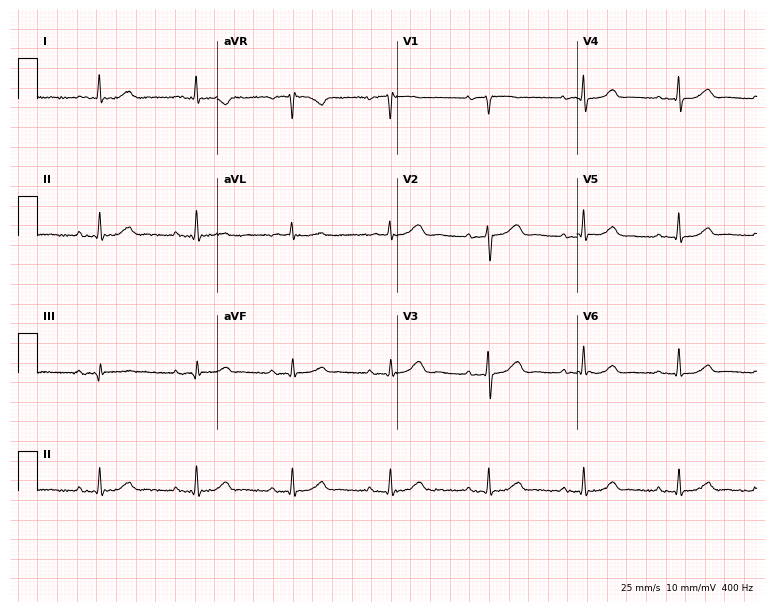
ECG — an 87-year-old female patient. Labelled as a normal ECG.